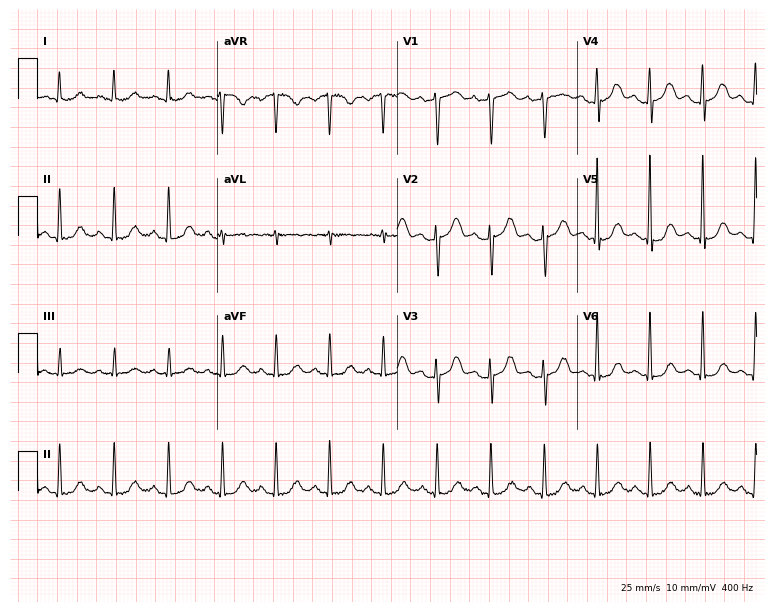
12-lead ECG from a female, 54 years old (7.3-second recording at 400 Hz). Shows sinus tachycardia (a sinus rate of 100 beats per minute or more).